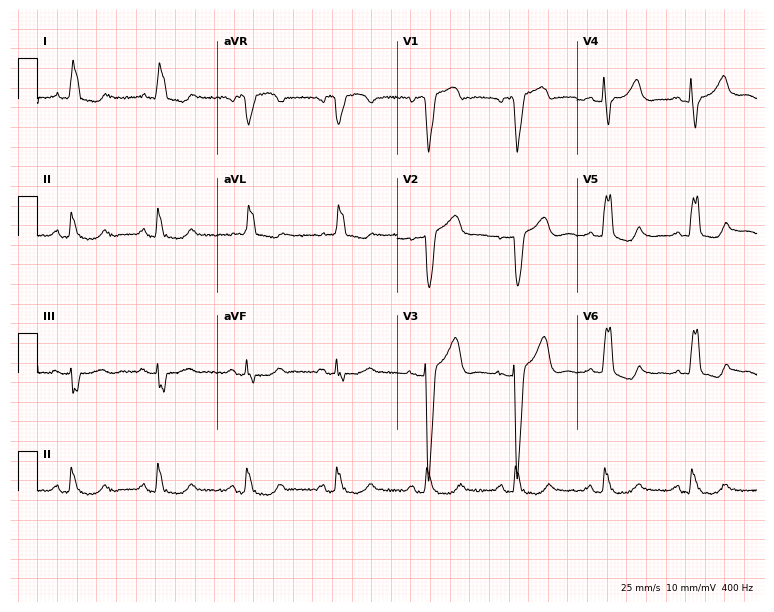
12-lead ECG from a female, 57 years old. Findings include left bundle branch block.